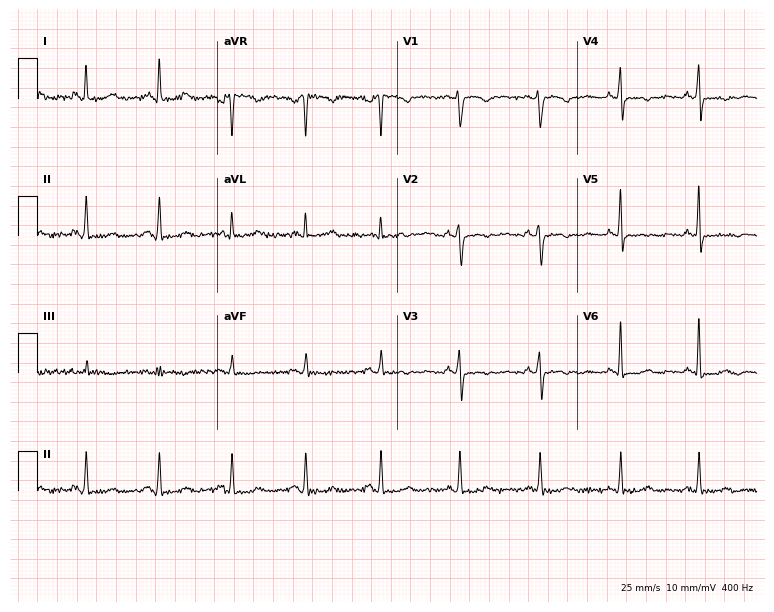
12-lead ECG from a 47-year-old female. Labelled as a normal ECG.